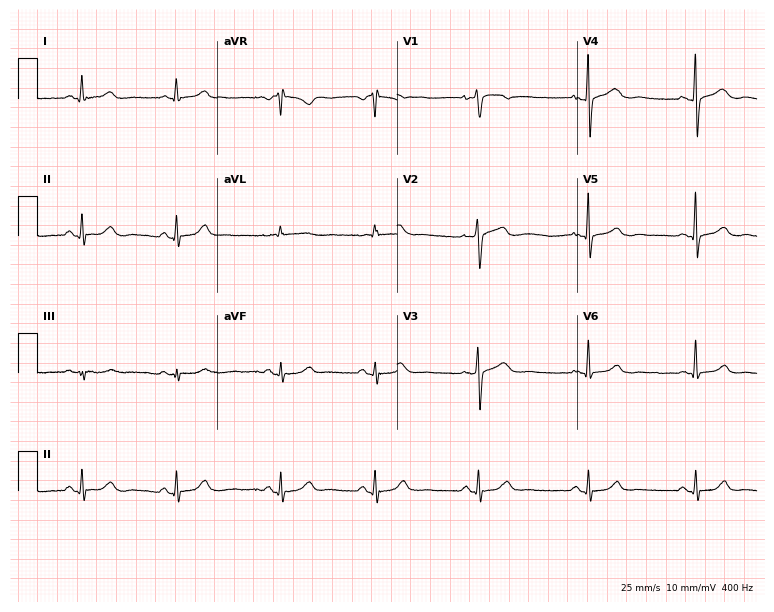
12-lead ECG (7.3-second recording at 400 Hz) from a female patient, 54 years old. Labelled as a normal ECG.